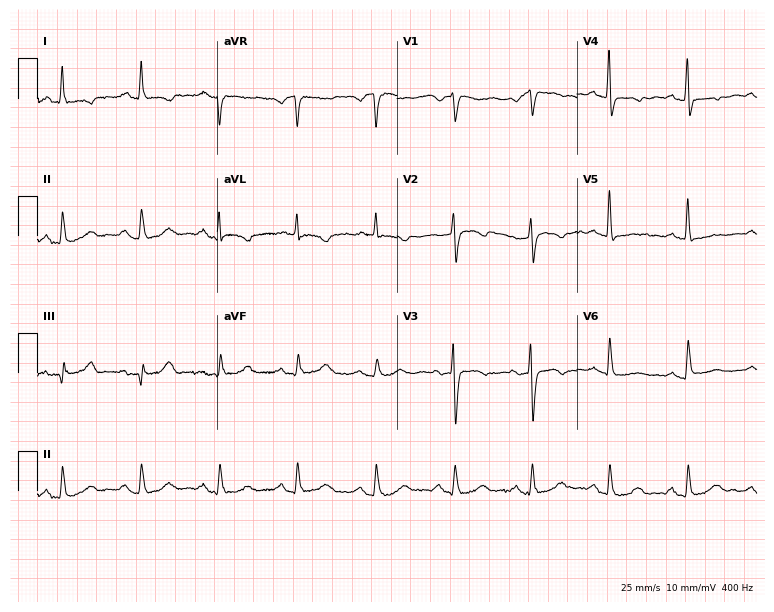
Standard 12-lead ECG recorded from a 75-year-old female patient (7.3-second recording at 400 Hz). None of these six findings is recorded: first-degree AV block, right bundle branch block, left bundle branch block, sinus bradycardia, atrial fibrillation, sinus tachycardia.